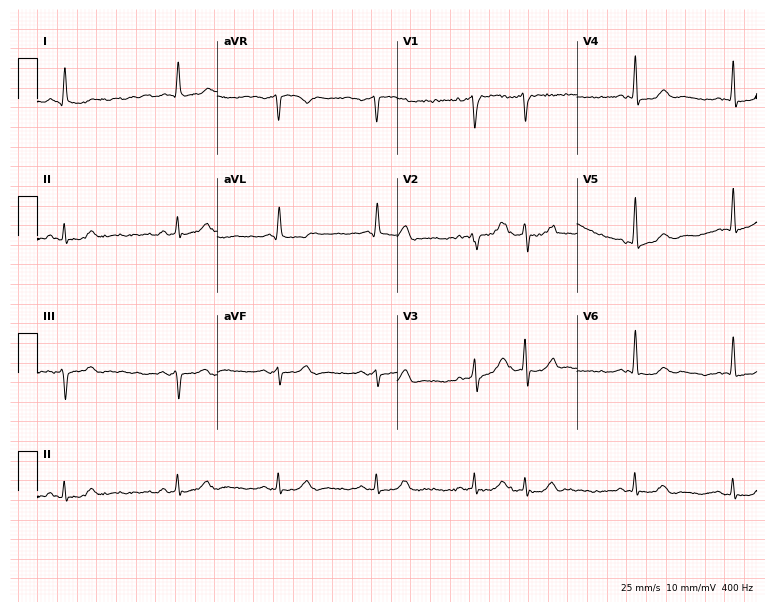
Electrocardiogram, a man, 82 years old. Of the six screened findings (first-degree AV block, right bundle branch block (RBBB), left bundle branch block (LBBB), sinus bradycardia, atrial fibrillation (AF), sinus tachycardia), none is recorded. Other findings, if any, are not listed.